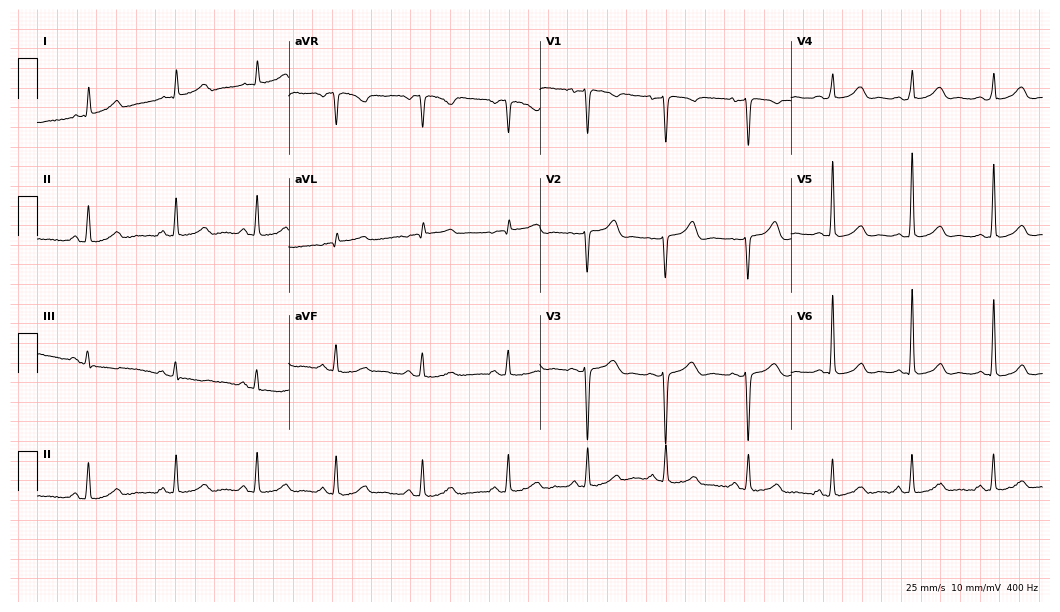
Standard 12-lead ECG recorded from a female, 51 years old. None of these six findings is recorded: first-degree AV block, right bundle branch block (RBBB), left bundle branch block (LBBB), sinus bradycardia, atrial fibrillation (AF), sinus tachycardia.